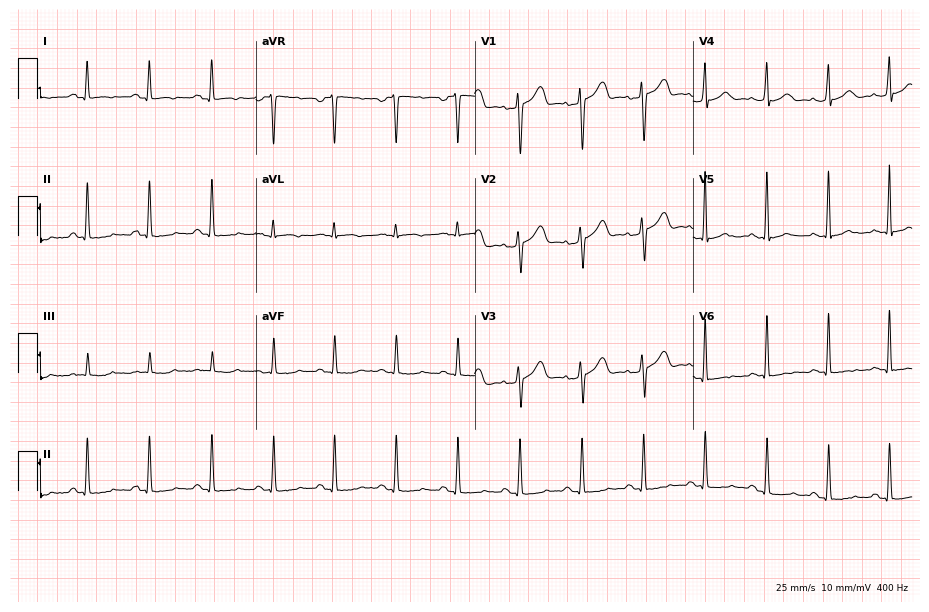
12-lead ECG from a female, 46 years old. Screened for six findings — first-degree AV block, right bundle branch block, left bundle branch block, sinus bradycardia, atrial fibrillation, sinus tachycardia — none is recorded.